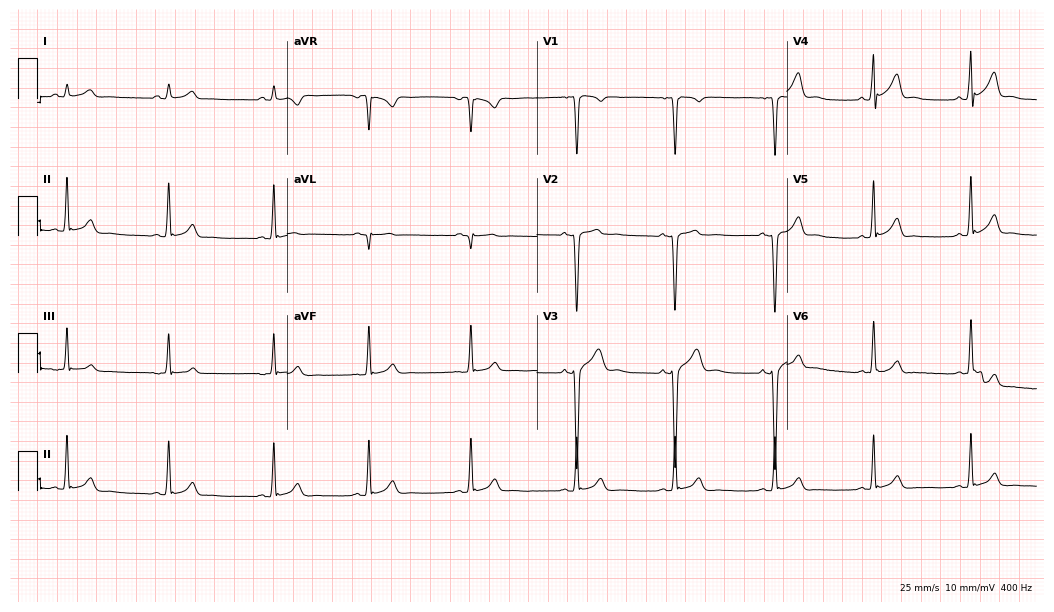
ECG — a male, 18 years old. Screened for six findings — first-degree AV block, right bundle branch block, left bundle branch block, sinus bradycardia, atrial fibrillation, sinus tachycardia — none is recorded.